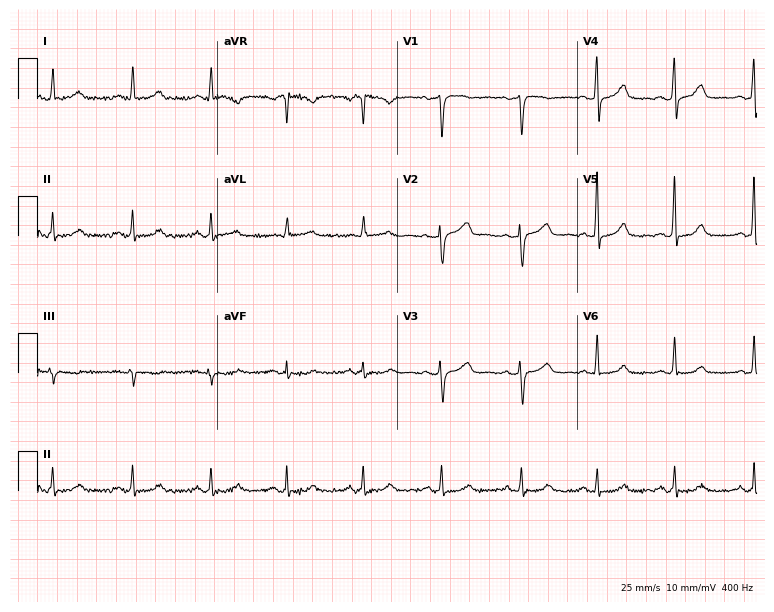
Electrocardiogram, a 51-year-old woman. Of the six screened findings (first-degree AV block, right bundle branch block (RBBB), left bundle branch block (LBBB), sinus bradycardia, atrial fibrillation (AF), sinus tachycardia), none is recorded.